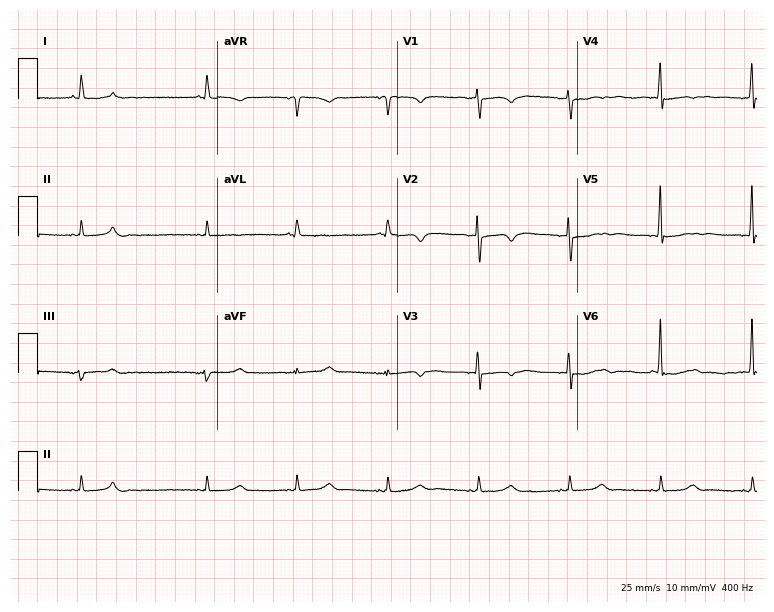
ECG — an 81-year-old female patient. Screened for six findings — first-degree AV block, right bundle branch block, left bundle branch block, sinus bradycardia, atrial fibrillation, sinus tachycardia — none is recorded.